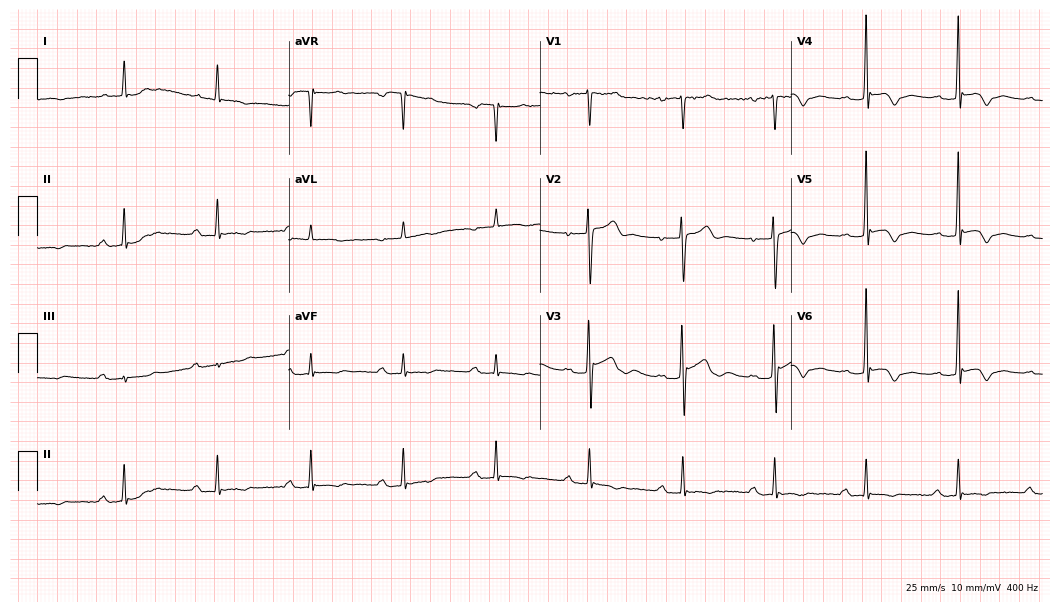
Standard 12-lead ECG recorded from a male, 72 years old (10.2-second recording at 400 Hz). None of these six findings is recorded: first-degree AV block, right bundle branch block, left bundle branch block, sinus bradycardia, atrial fibrillation, sinus tachycardia. Findings outside these six are not listed.